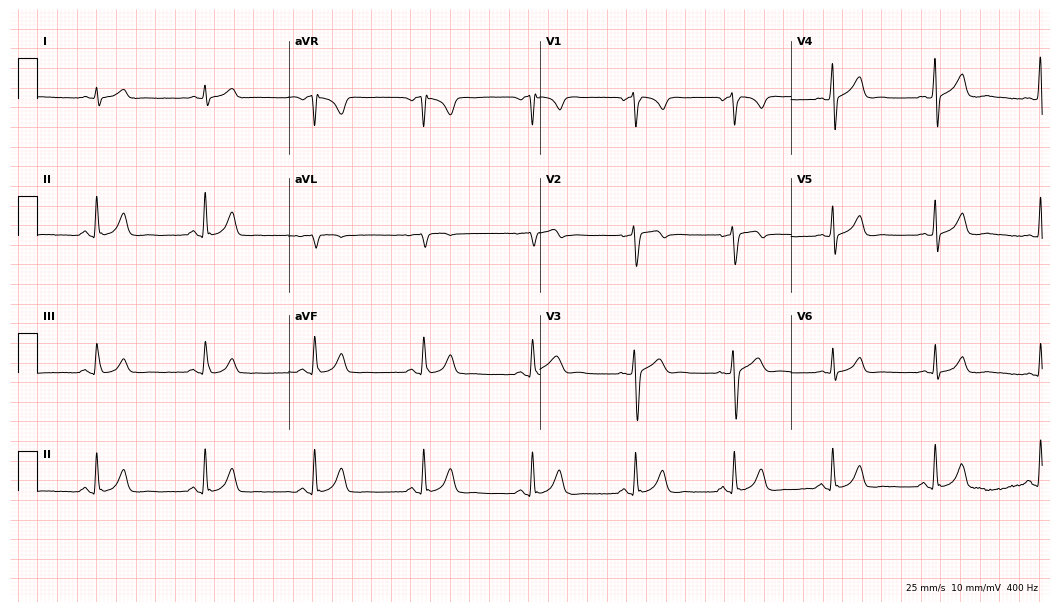
12-lead ECG from a male, 42 years old (10.2-second recording at 400 Hz). Recorded interpretation: within normal limits.